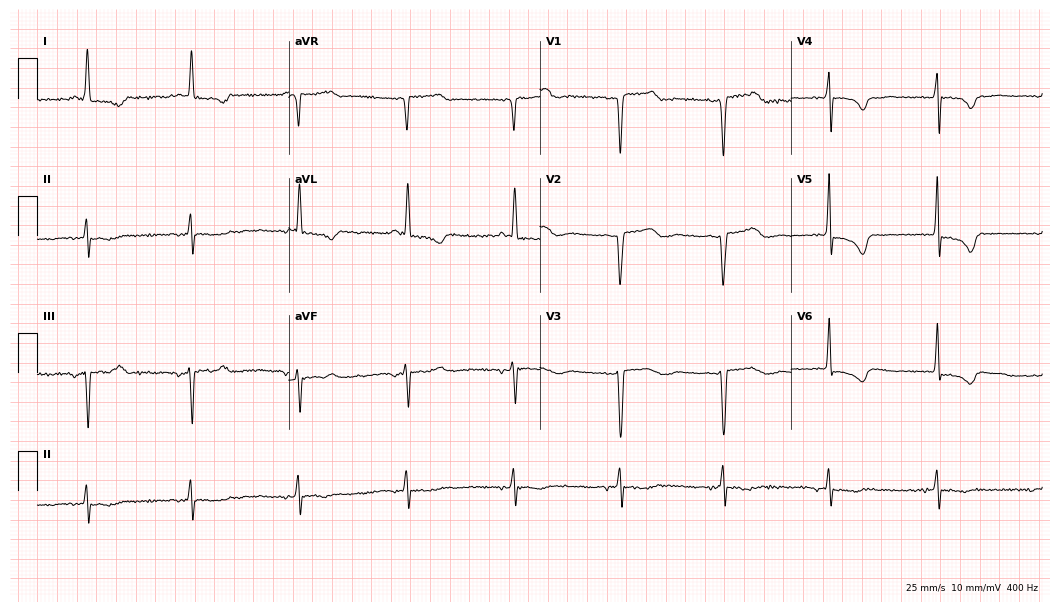
ECG (10.2-second recording at 400 Hz) — a 66-year-old woman. Screened for six findings — first-degree AV block, right bundle branch block (RBBB), left bundle branch block (LBBB), sinus bradycardia, atrial fibrillation (AF), sinus tachycardia — none is recorded. Only these six findings were labelled.